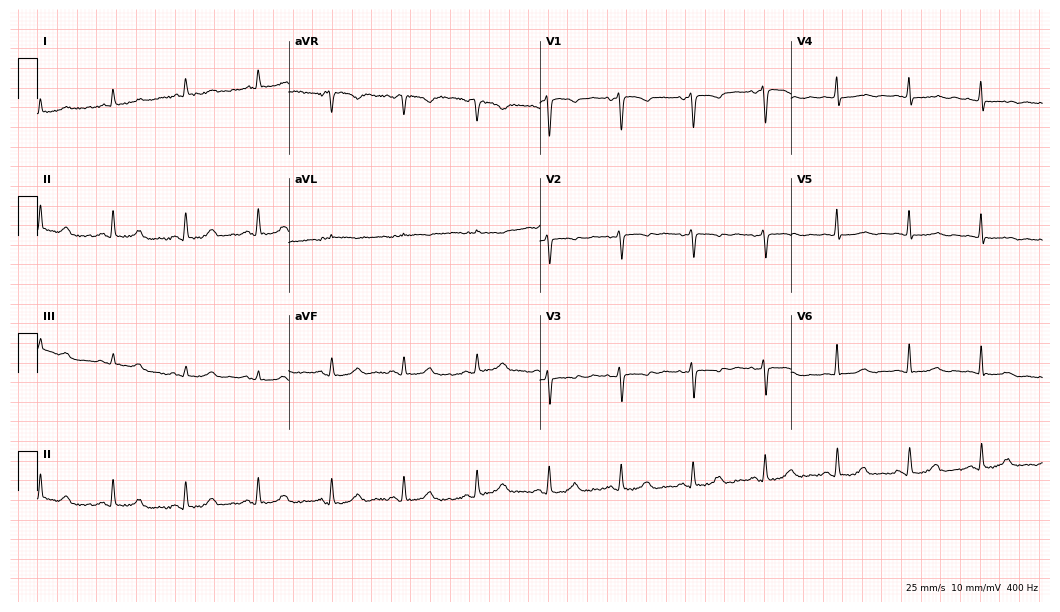
Electrocardiogram, a woman, 71 years old. Of the six screened findings (first-degree AV block, right bundle branch block (RBBB), left bundle branch block (LBBB), sinus bradycardia, atrial fibrillation (AF), sinus tachycardia), none is recorded. Only these six findings were labelled.